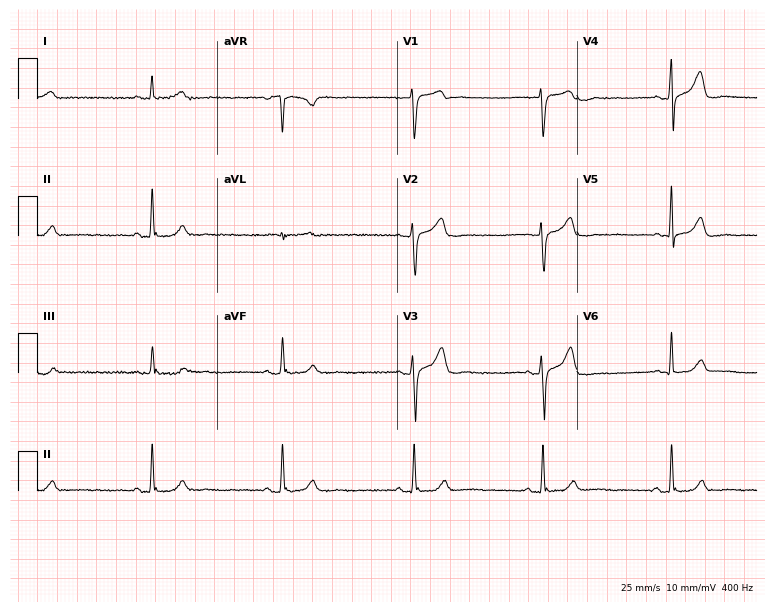
12-lead ECG (7.3-second recording at 400 Hz) from a 56-year-old male. Screened for six findings — first-degree AV block, right bundle branch block, left bundle branch block, sinus bradycardia, atrial fibrillation, sinus tachycardia — none is recorded.